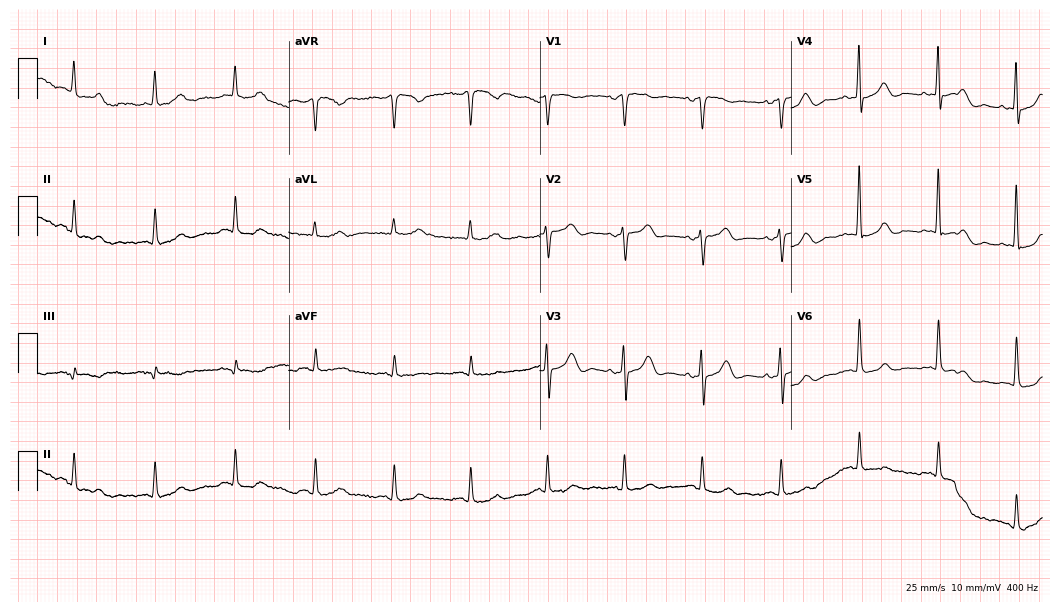
12-lead ECG from a female, 83 years old. Labelled as a normal ECG.